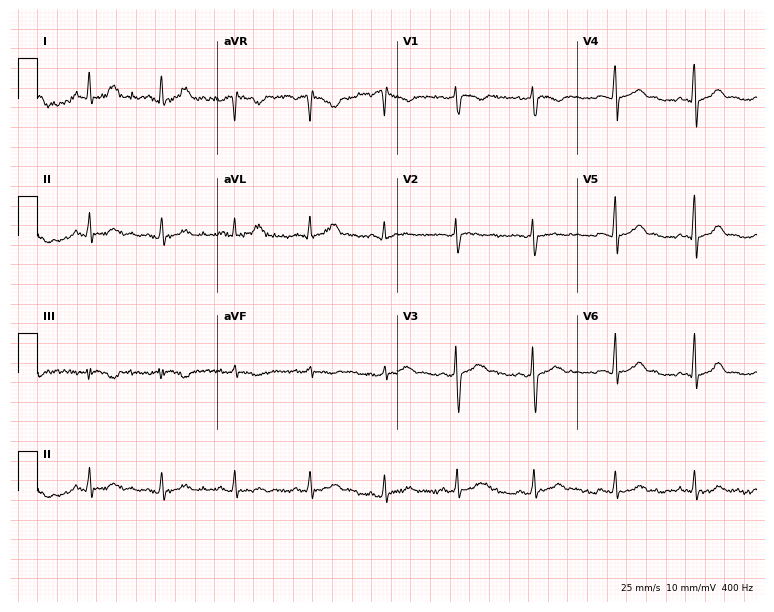
Electrocardiogram (7.3-second recording at 400 Hz), a female patient, 25 years old. Overall reading on record: normal ECG.